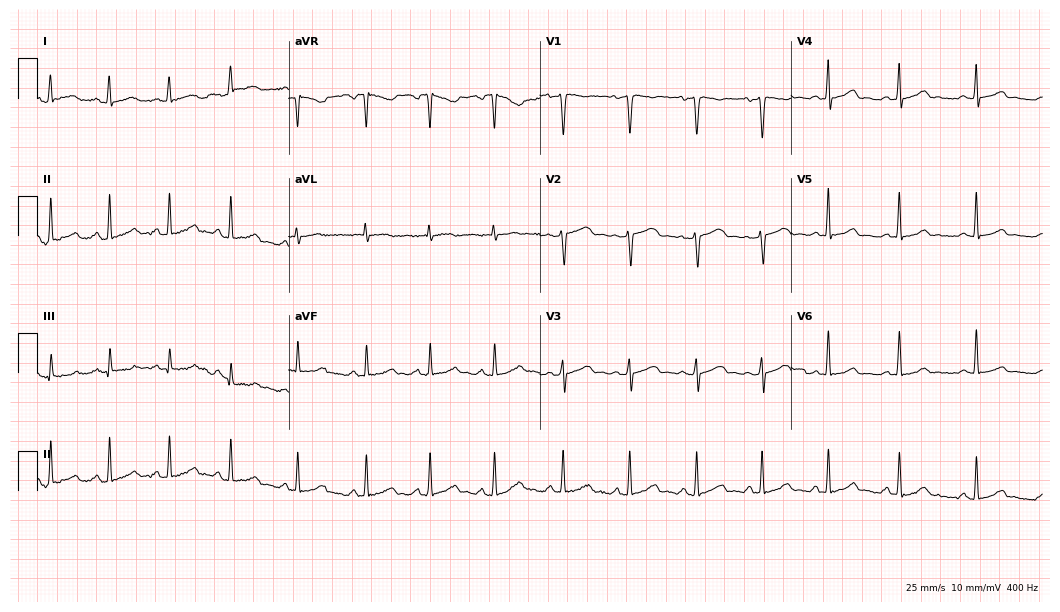
Resting 12-lead electrocardiogram (10.2-second recording at 400 Hz). Patient: a 37-year-old female. Read as a normal ECG.